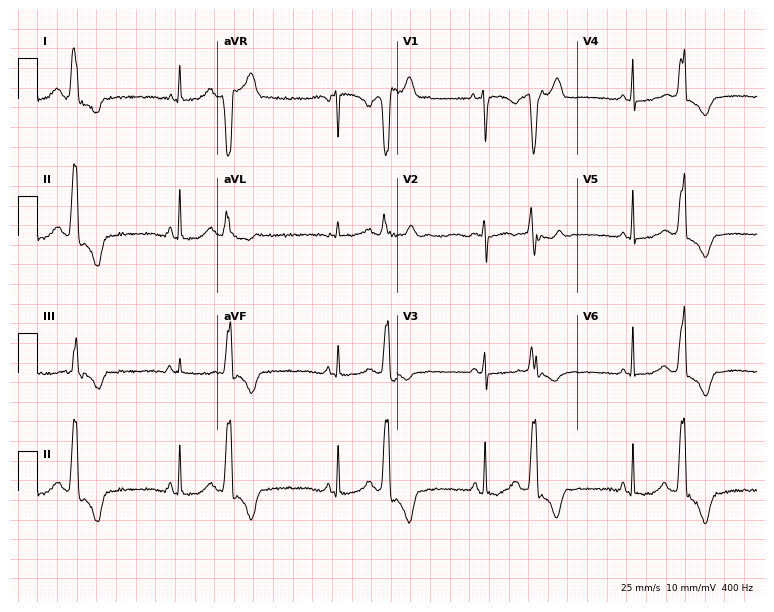
12-lead ECG from a female patient, 21 years old. Labelled as a normal ECG.